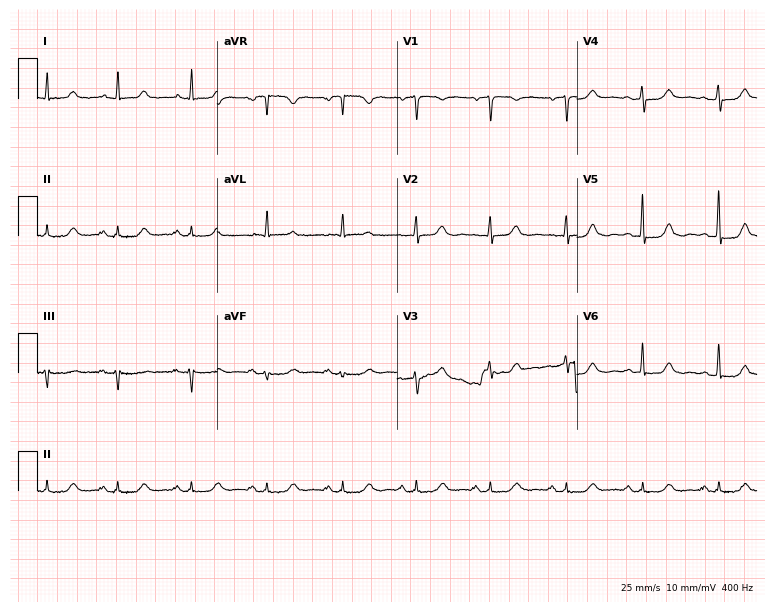
Standard 12-lead ECG recorded from a woman, 71 years old. Read as a normal ECG.